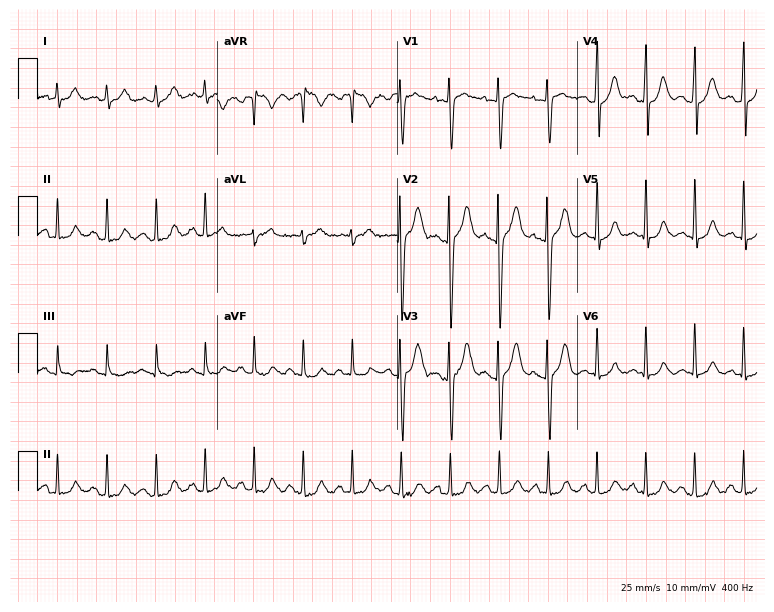
12-lead ECG from a male, 21 years old (7.3-second recording at 400 Hz). Shows sinus tachycardia (a sinus rate of 100 beats per minute or more).